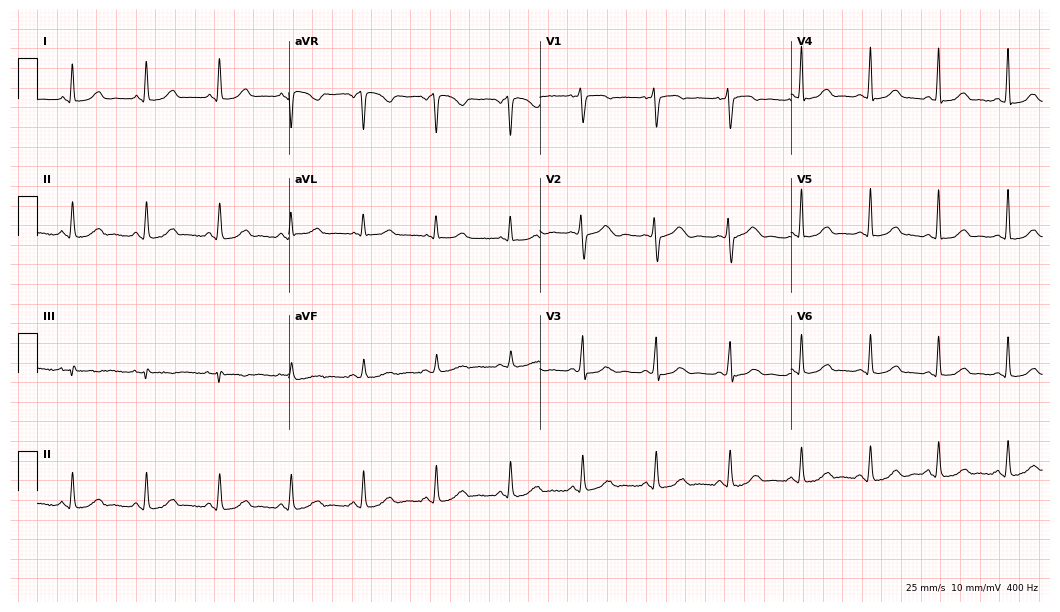
12-lead ECG from a woman, 47 years old (10.2-second recording at 400 Hz). No first-degree AV block, right bundle branch block (RBBB), left bundle branch block (LBBB), sinus bradycardia, atrial fibrillation (AF) or sinus tachycardia recorded for this tracing. Findings outside these six are not listed.